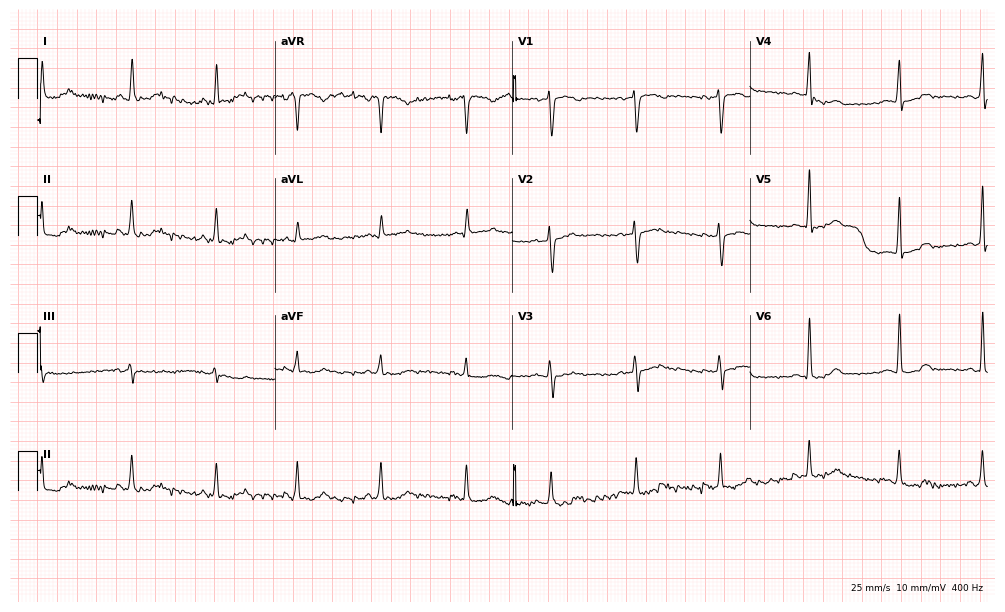
12-lead ECG from a 55-year-old female. No first-degree AV block, right bundle branch block, left bundle branch block, sinus bradycardia, atrial fibrillation or sinus tachycardia recorded for this tracing. Only these six findings were labelled.